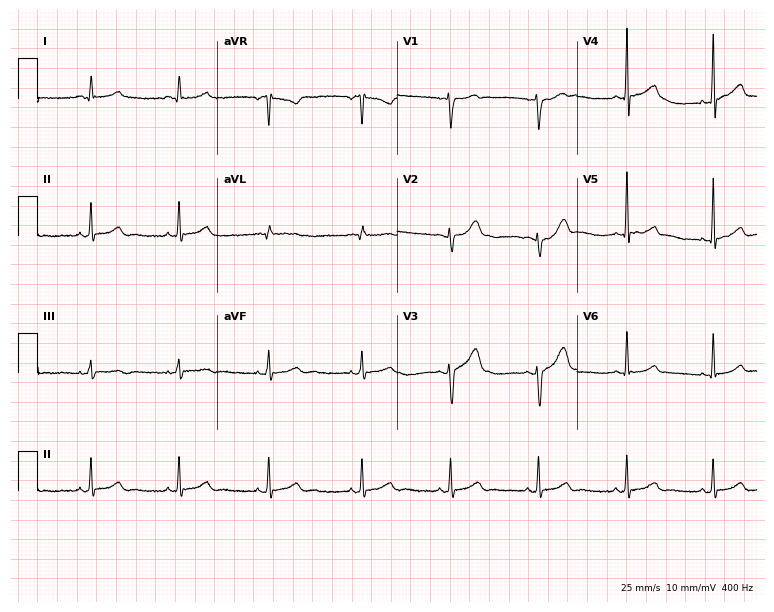
12-lead ECG from a woman, 31 years old. No first-degree AV block, right bundle branch block, left bundle branch block, sinus bradycardia, atrial fibrillation or sinus tachycardia recorded for this tracing. Only these six findings were labelled.